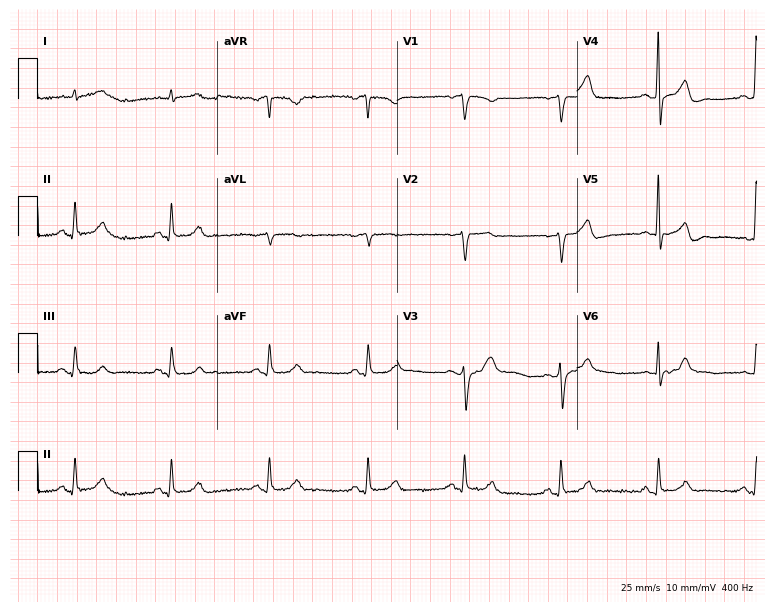
12-lead ECG (7.3-second recording at 400 Hz) from a 58-year-old male. Labelled as a normal ECG.